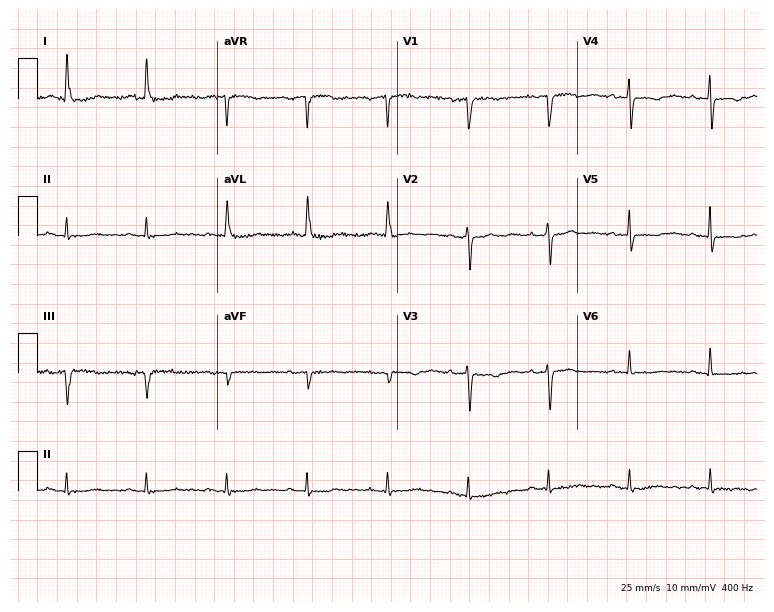
Resting 12-lead electrocardiogram (7.3-second recording at 400 Hz). Patient: a 77-year-old woman. None of these six findings is recorded: first-degree AV block, right bundle branch block (RBBB), left bundle branch block (LBBB), sinus bradycardia, atrial fibrillation (AF), sinus tachycardia.